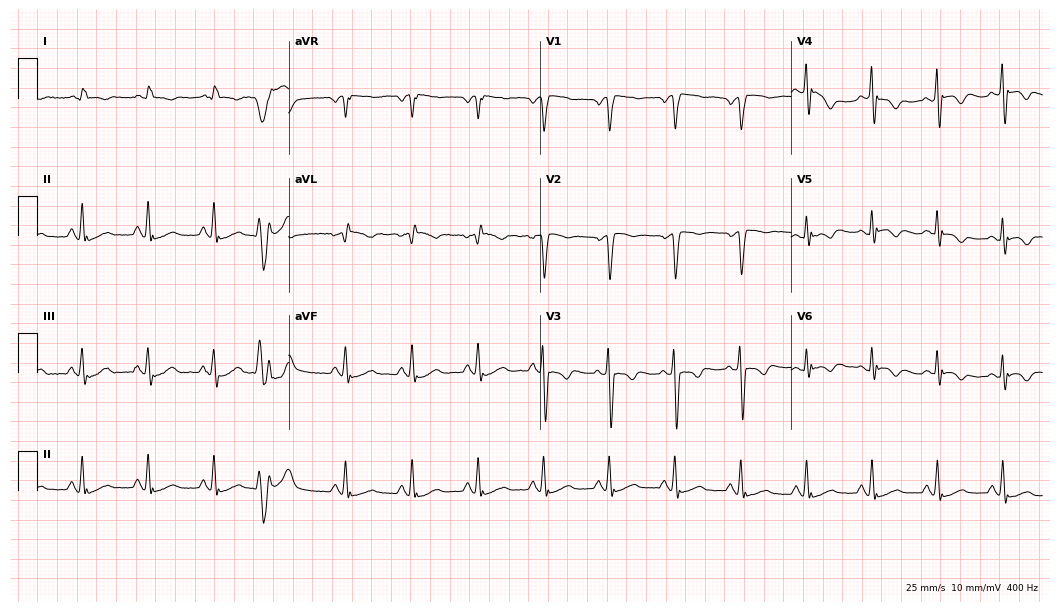
12-lead ECG from a 77-year-old male patient. Screened for six findings — first-degree AV block, right bundle branch block, left bundle branch block, sinus bradycardia, atrial fibrillation, sinus tachycardia — none is recorded.